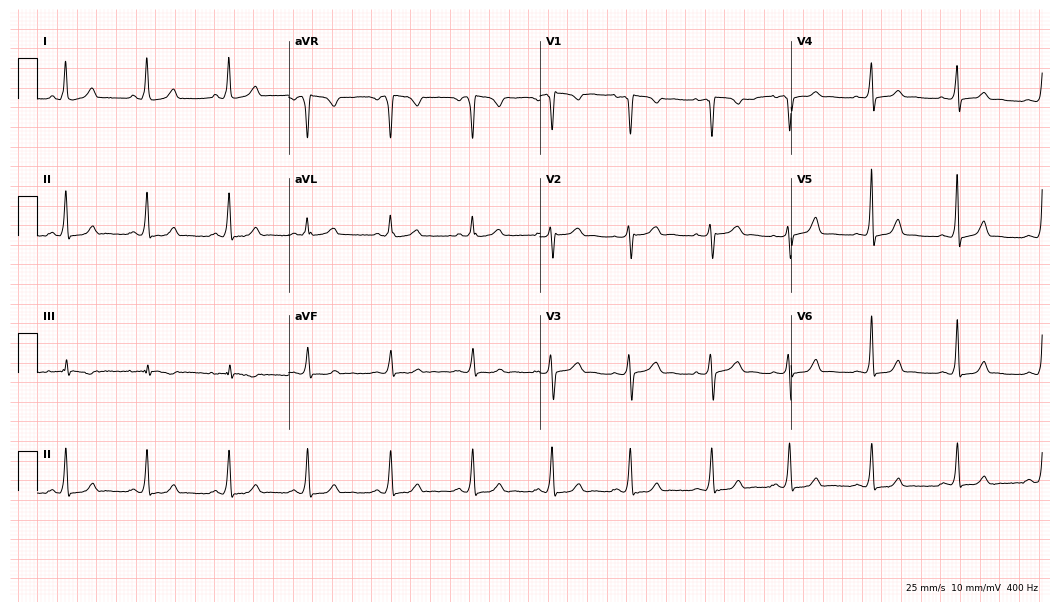
12-lead ECG from a 26-year-old female patient (10.2-second recording at 400 Hz). No first-degree AV block, right bundle branch block, left bundle branch block, sinus bradycardia, atrial fibrillation or sinus tachycardia recorded for this tracing. Findings outside these six are not listed.